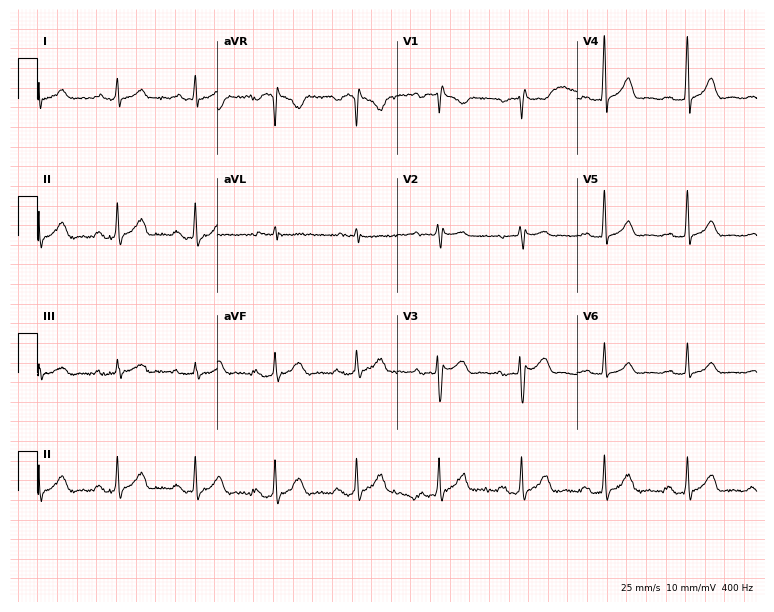
ECG (7.3-second recording at 400 Hz) — a 38-year-old male. Screened for six findings — first-degree AV block, right bundle branch block, left bundle branch block, sinus bradycardia, atrial fibrillation, sinus tachycardia — none is recorded.